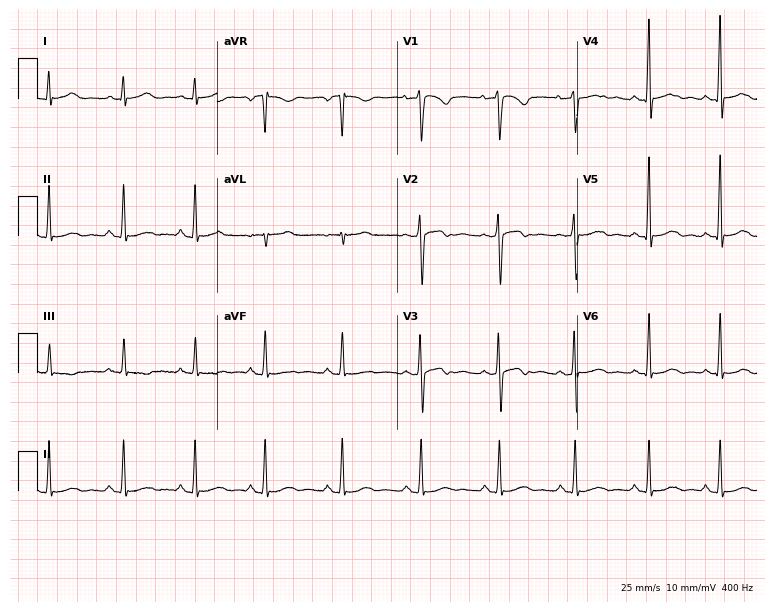
12-lead ECG from a female patient, 34 years old. Screened for six findings — first-degree AV block, right bundle branch block, left bundle branch block, sinus bradycardia, atrial fibrillation, sinus tachycardia — none is recorded.